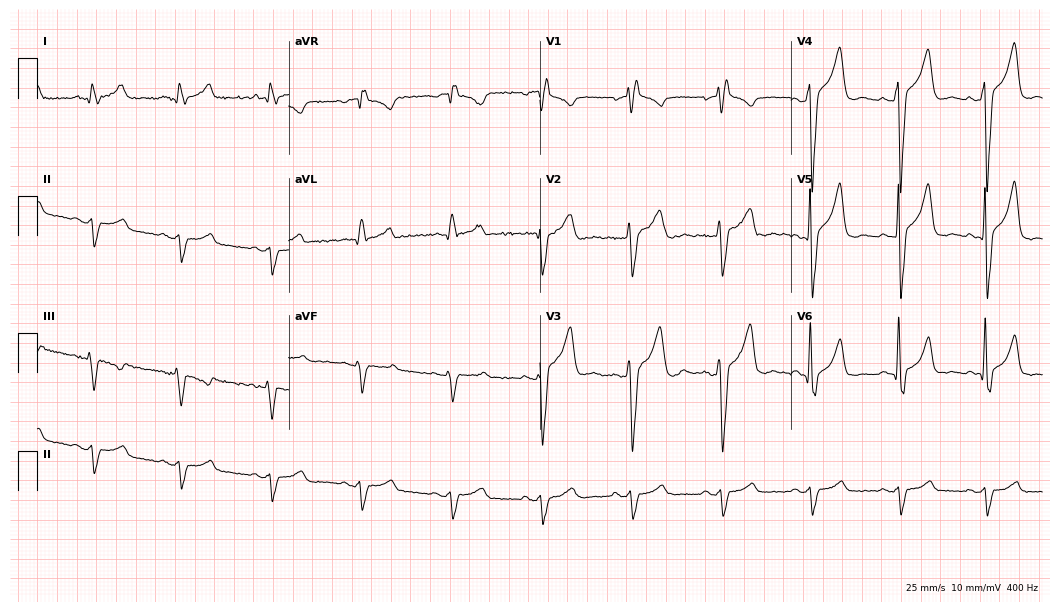
Standard 12-lead ECG recorded from a male patient, 56 years old. The tracing shows right bundle branch block.